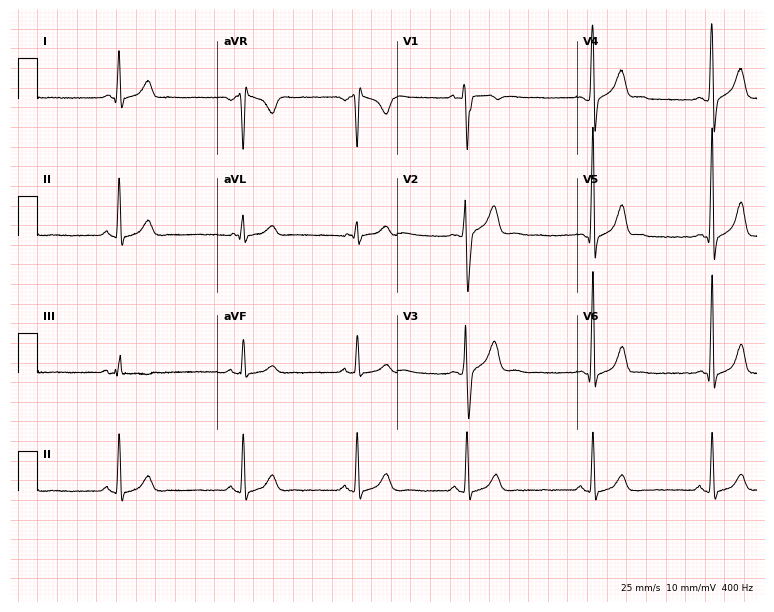
Resting 12-lead electrocardiogram (7.3-second recording at 400 Hz). Patient: a 33-year-old male. Read as a normal ECG.